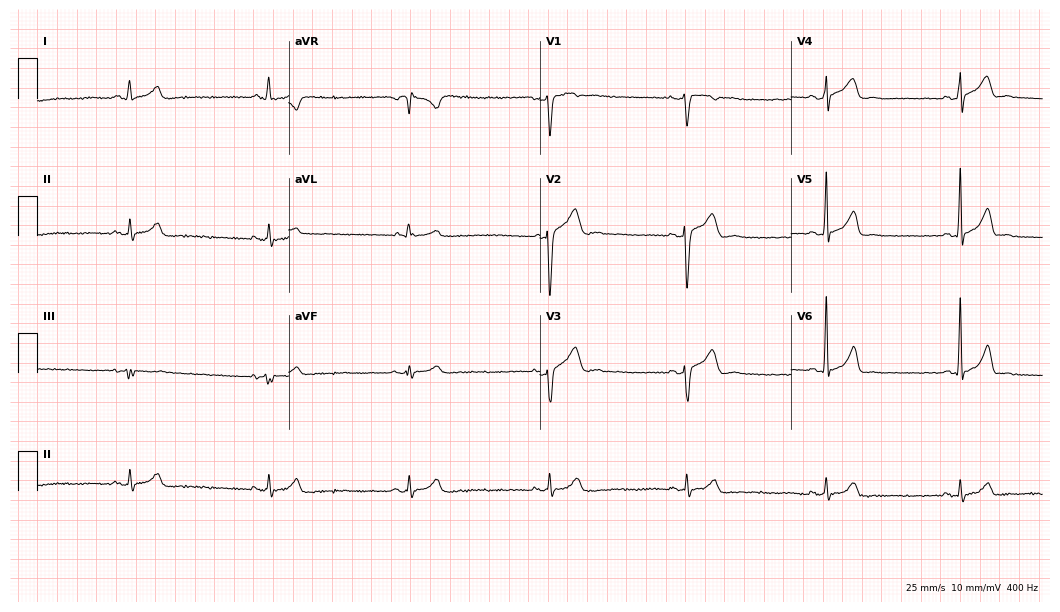
ECG — a man, 21 years old. Findings include sinus bradycardia (a sinus rate of 50 beats per minute or less).